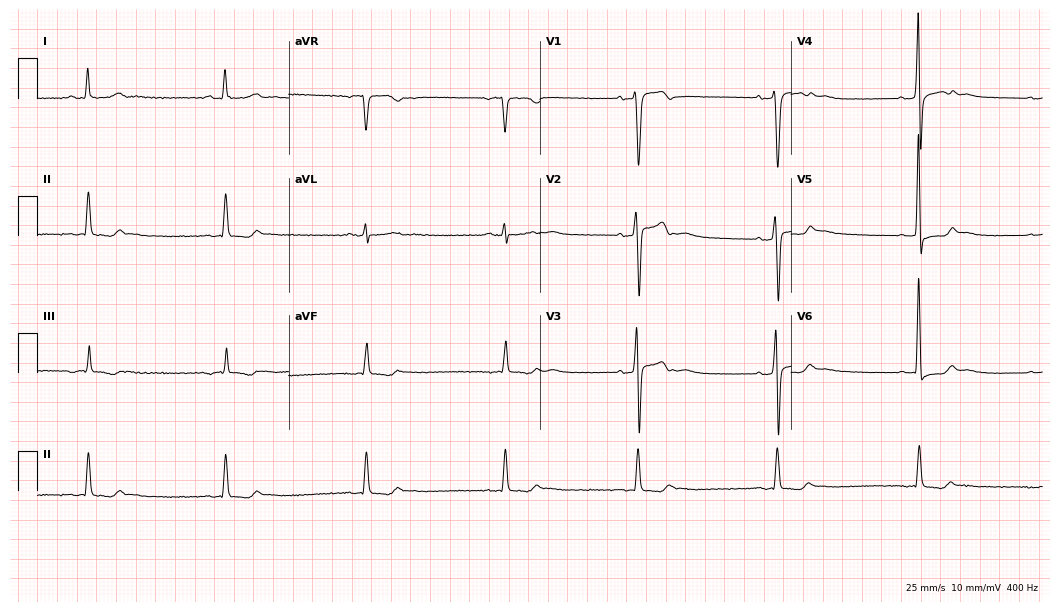
Standard 12-lead ECG recorded from a male patient, 33 years old. The tracing shows sinus bradycardia (a sinus rate of 50 beats per minute or less).